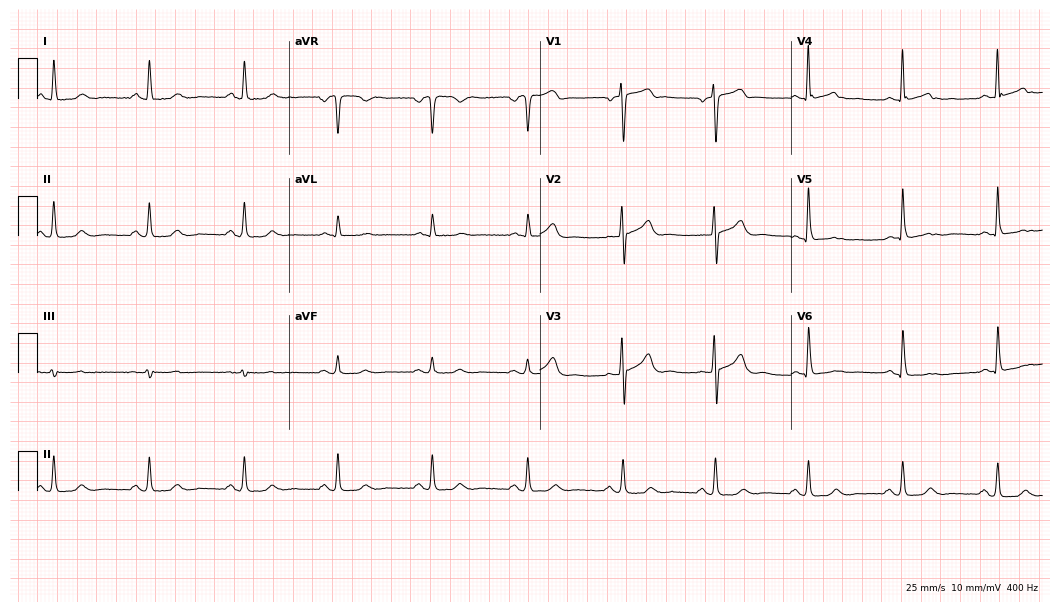
Electrocardiogram (10.2-second recording at 400 Hz), a 68-year-old male patient. Overall reading on record: normal ECG.